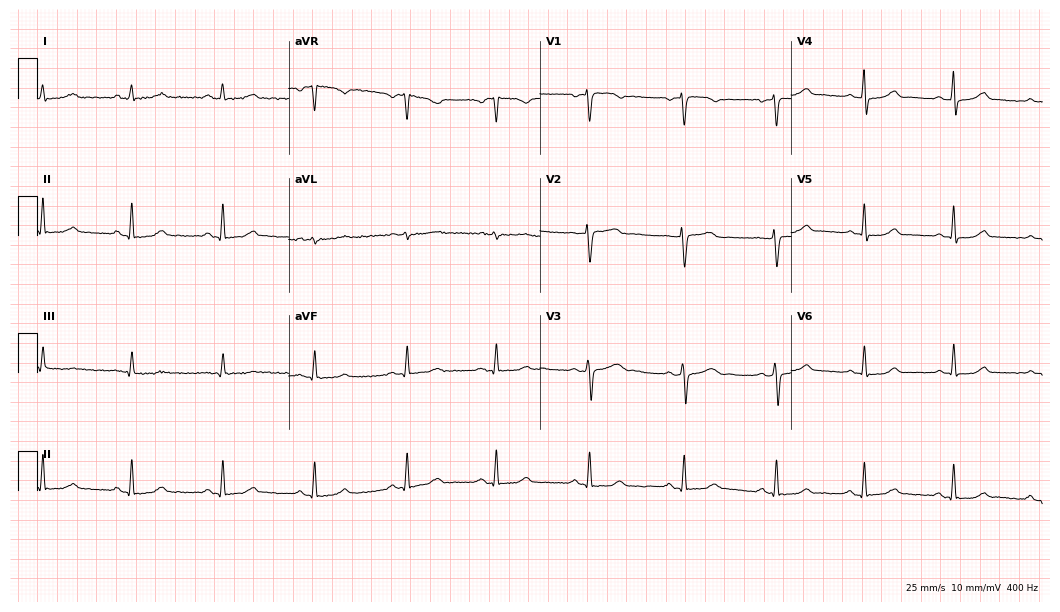
Resting 12-lead electrocardiogram (10.2-second recording at 400 Hz). Patient: a female, 45 years old. Read as a normal ECG.